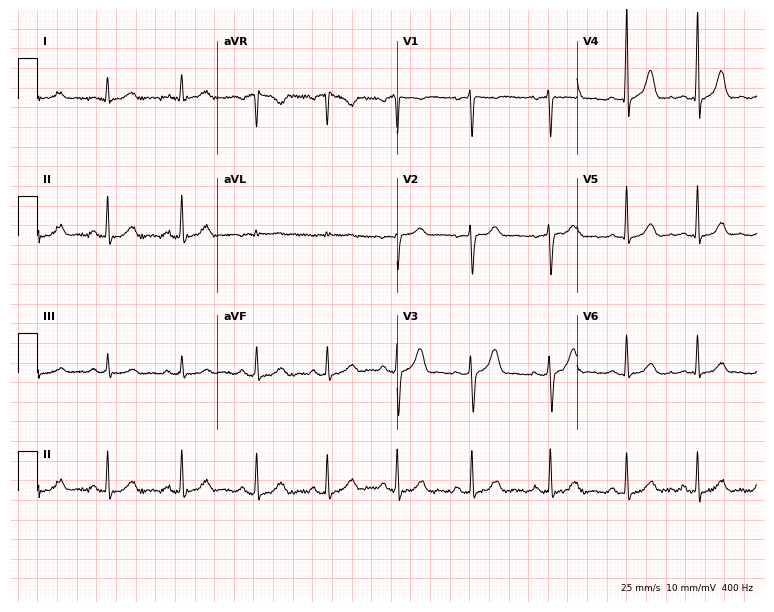
12-lead ECG from a 35-year-old woman (7.3-second recording at 400 Hz). No first-degree AV block, right bundle branch block, left bundle branch block, sinus bradycardia, atrial fibrillation or sinus tachycardia recorded for this tracing. Findings outside these six are not listed.